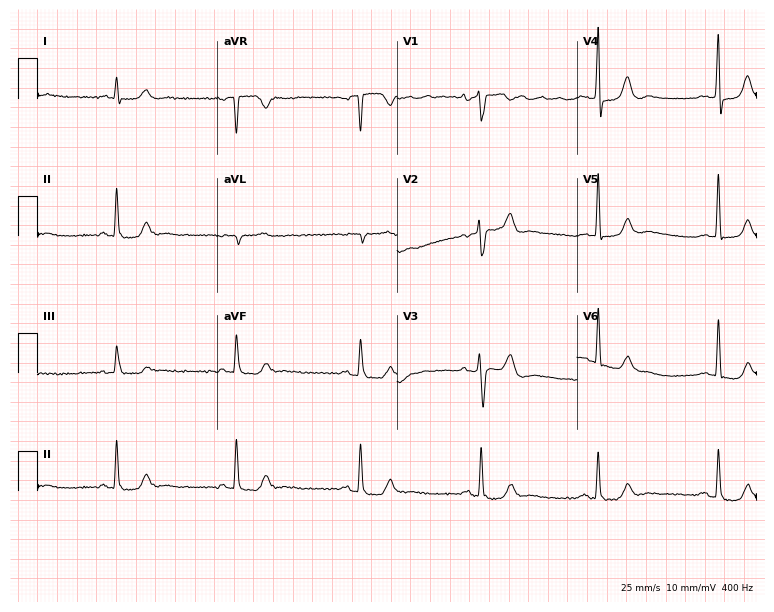
ECG (7.3-second recording at 400 Hz) — a male, 77 years old. Screened for six findings — first-degree AV block, right bundle branch block, left bundle branch block, sinus bradycardia, atrial fibrillation, sinus tachycardia — none is recorded. Other findings, if any, are not listed.